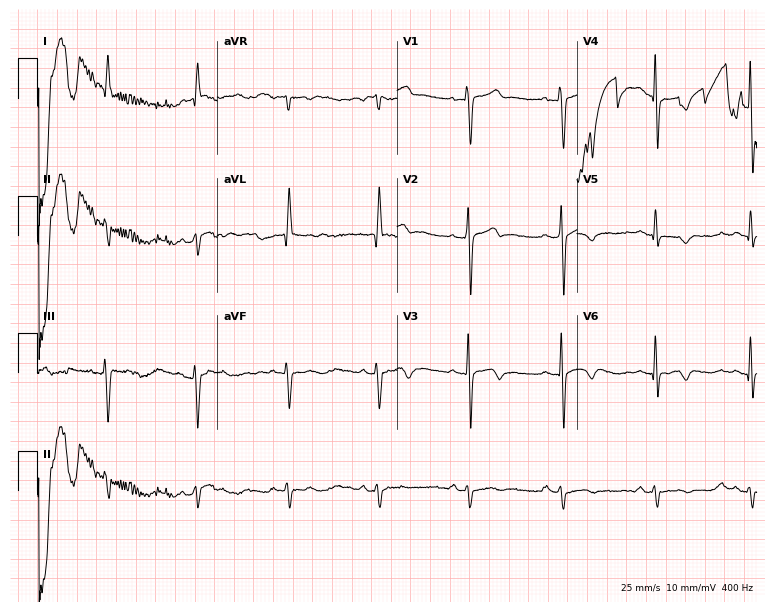
12-lead ECG from a male, 43 years old (7.3-second recording at 400 Hz). No first-degree AV block, right bundle branch block (RBBB), left bundle branch block (LBBB), sinus bradycardia, atrial fibrillation (AF) or sinus tachycardia recorded for this tracing.